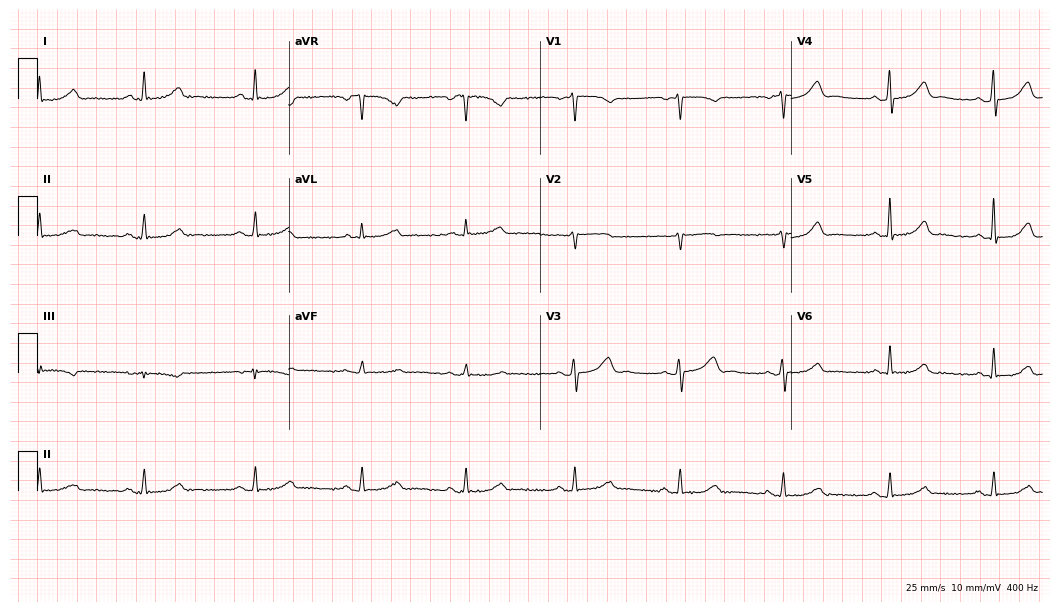
Resting 12-lead electrocardiogram. Patient: a 50-year-old woman. Read as a normal ECG.